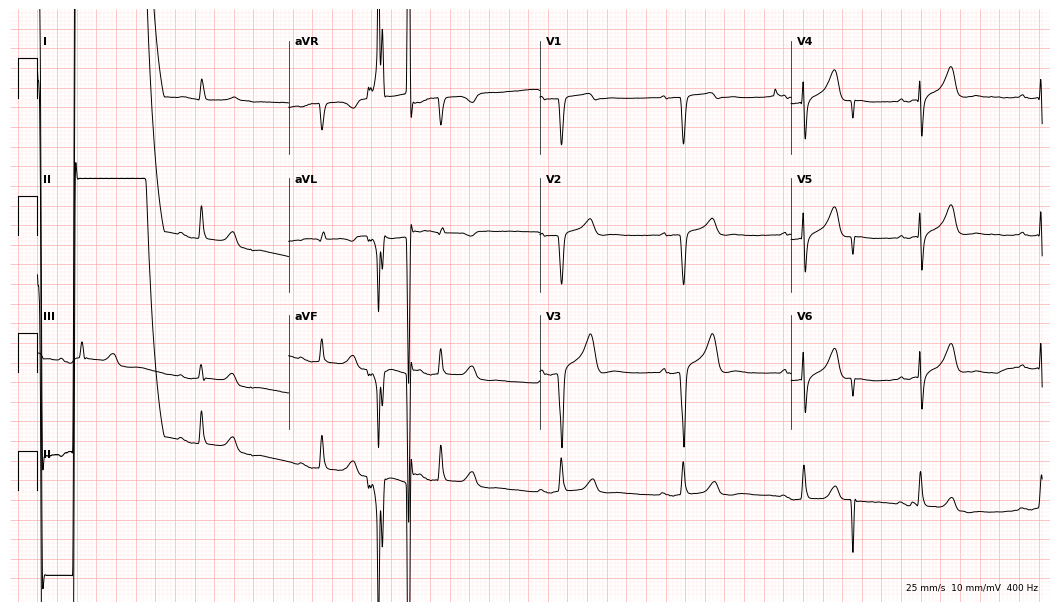
Electrocardiogram, a 74-year-old male. Of the six screened findings (first-degree AV block, right bundle branch block, left bundle branch block, sinus bradycardia, atrial fibrillation, sinus tachycardia), none is recorded.